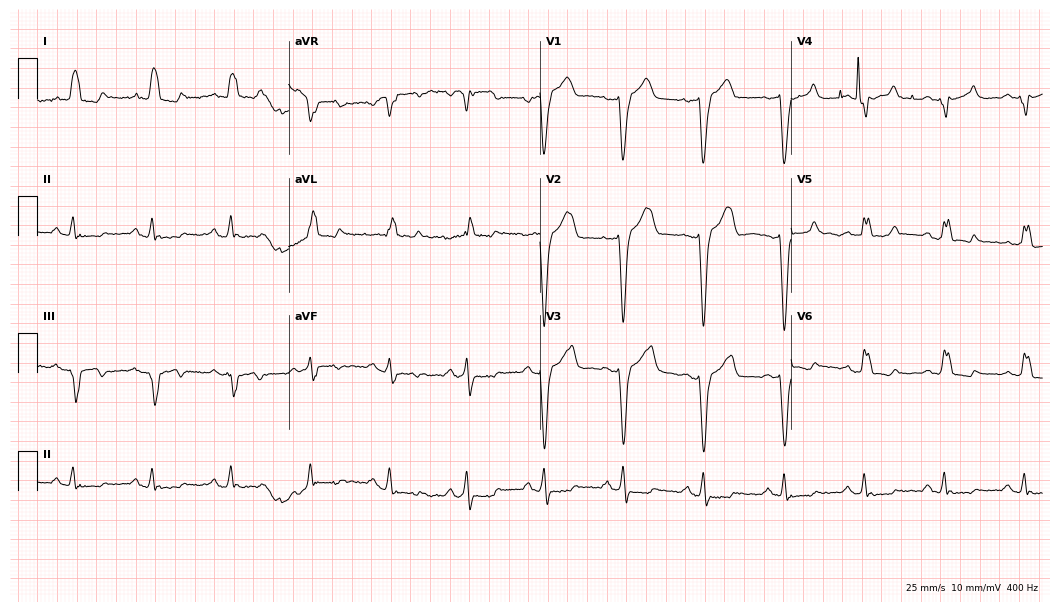
Standard 12-lead ECG recorded from a man, 65 years old. The tracing shows left bundle branch block (LBBB).